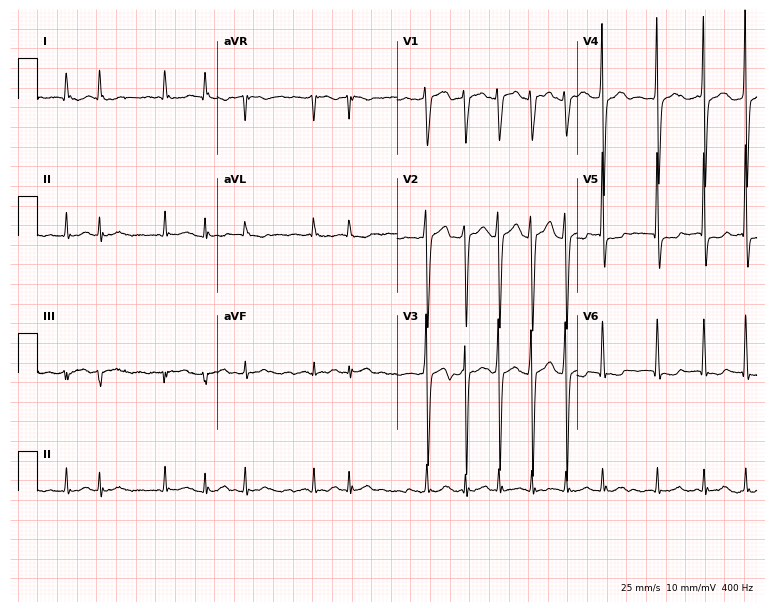
12-lead ECG (7.3-second recording at 400 Hz) from an 80-year-old male patient. Findings include atrial fibrillation.